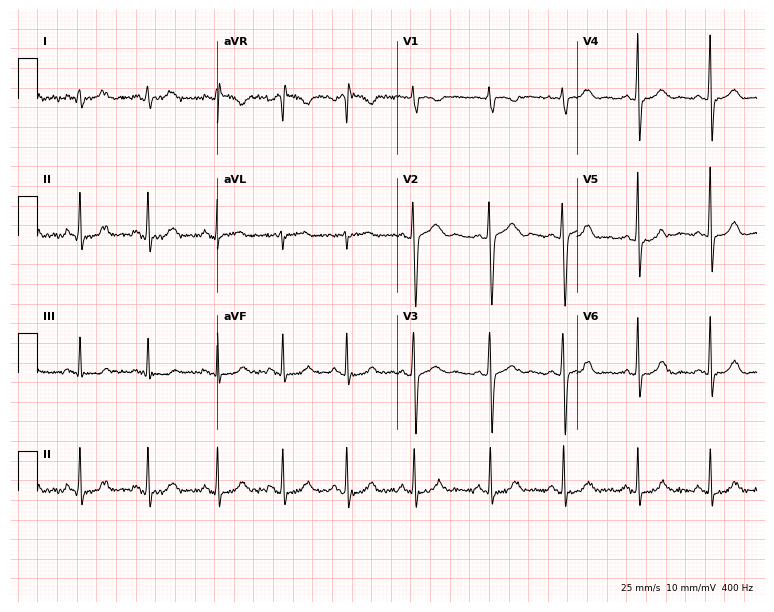
ECG — a woman, 29 years old. Labelled as a normal ECG.